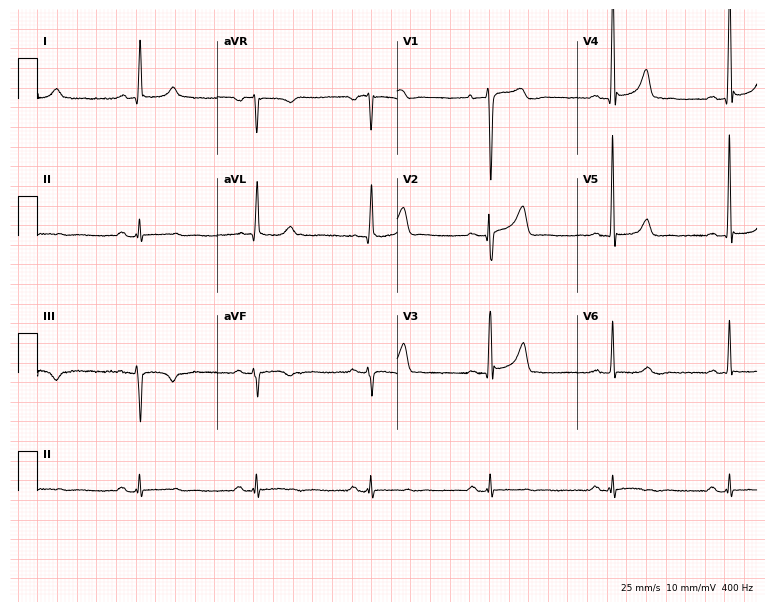
Electrocardiogram, a 54-year-old male patient. Interpretation includes sinus bradycardia (a sinus rate of 50 beats per minute or less).